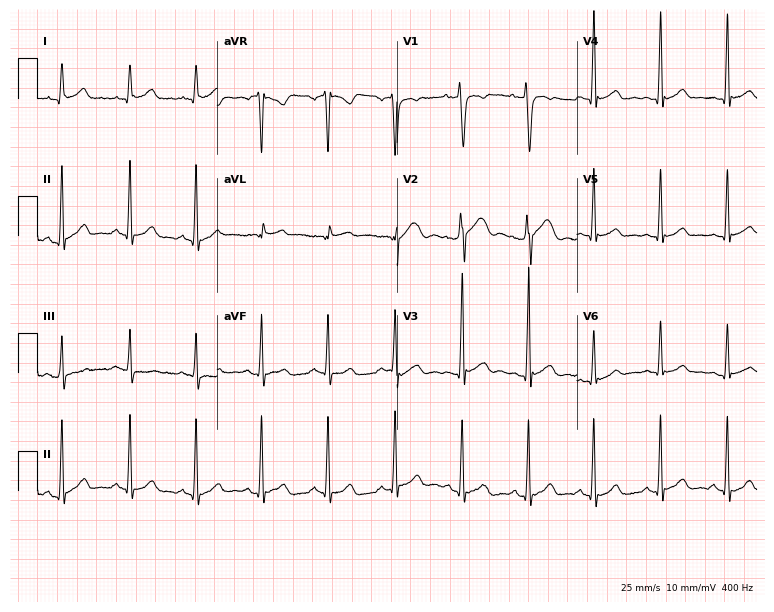
ECG (7.3-second recording at 400 Hz) — a 35-year-old man. Labelled as a normal ECG.